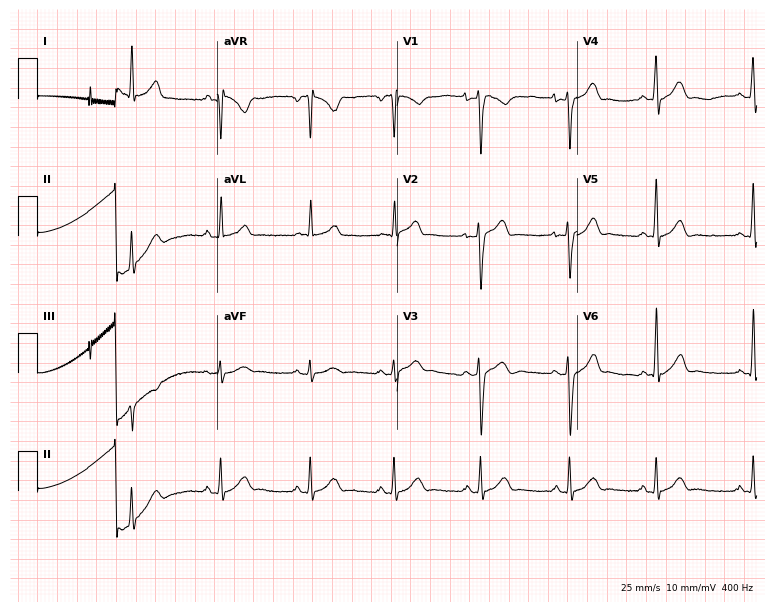
Electrocardiogram, a man, 23 years old. Of the six screened findings (first-degree AV block, right bundle branch block, left bundle branch block, sinus bradycardia, atrial fibrillation, sinus tachycardia), none is recorded.